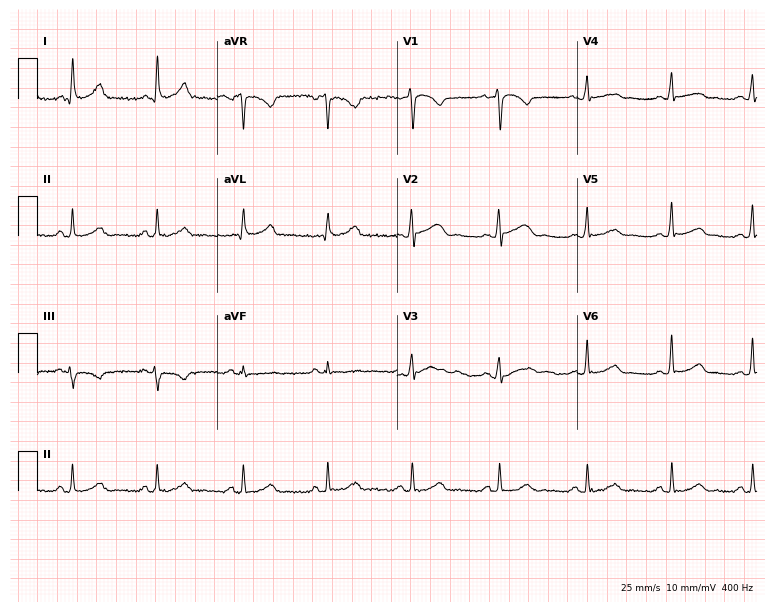
Electrocardiogram, a 45-year-old male. Overall reading on record: normal ECG.